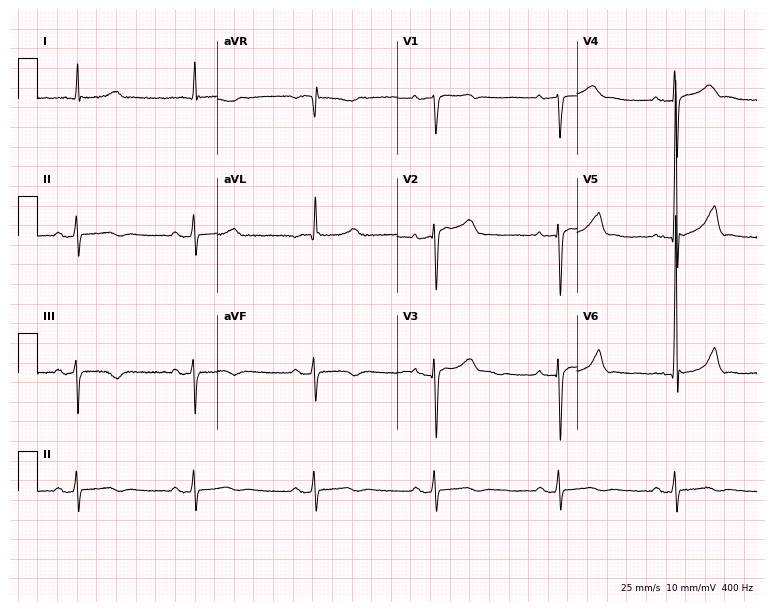
Electrocardiogram, an 82-year-old male patient. Of the six screened findings (first-degree AV block, right bundle branch block, left bundle branch block, sinus bradycardia, atrial fibrillation, sinus tachycardia), none is recorded.